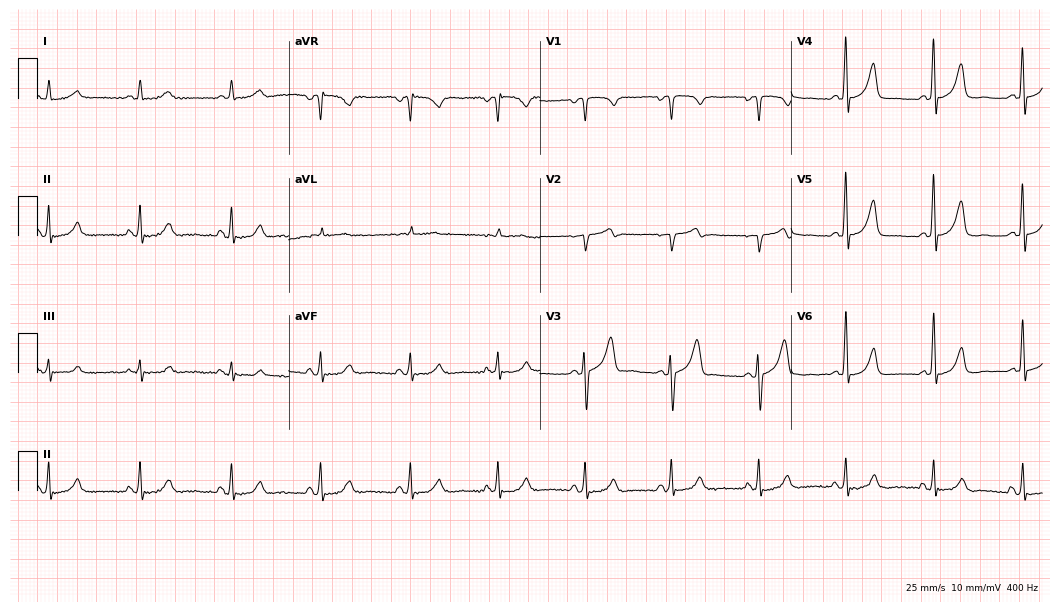
12-lead ECG from a male patient, 68 years old. No first-degree AV block, right bundle branch block (RBBB), left bundle branch block (LBBB), sinus bradycardia, atrial fibrillation (AF) or sinus tachycardia recorded for this tracing.